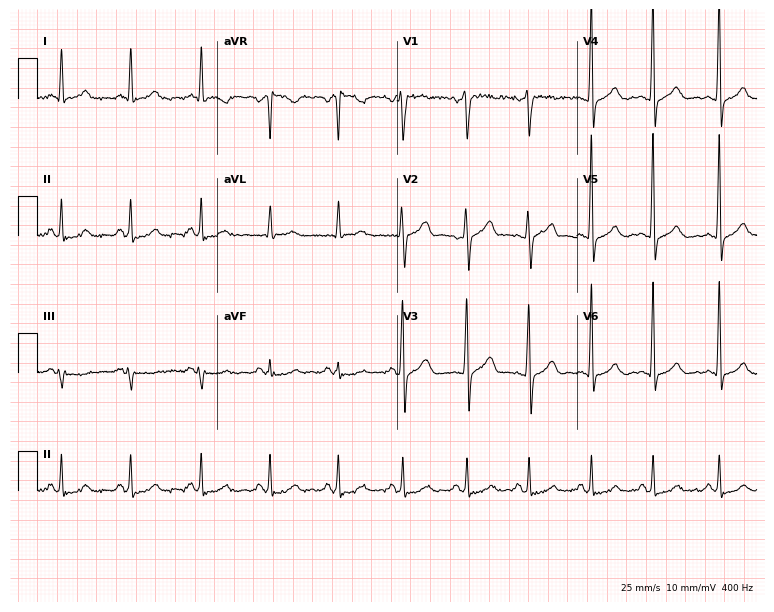
12-lead ECG from a man, 64 years old. Screened for six findings — first-degree AV block, right bundle branch block, left bundle branch block, sinus bradycardia, atrial fibrillation, sinus tachycardia — none is recorded. Other findings, if any, are not listed.